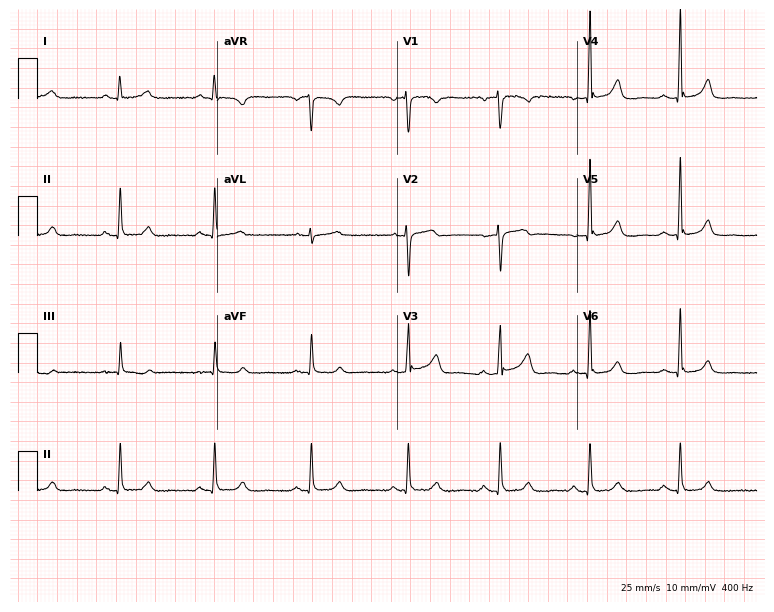
12-lead ECG (7.3-second recording at 400 Hz) from a 49-year-old woman. Labelled as a normal ECG.